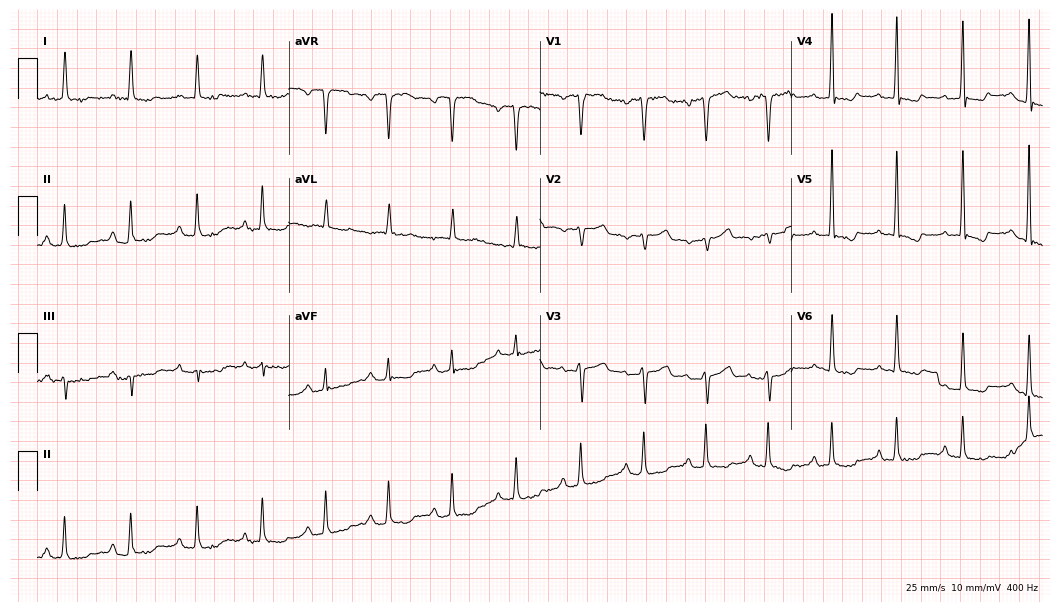
Resting 12-lead electrocardiogram. Patient: an 82-year-old female. Read as a normal ECG.